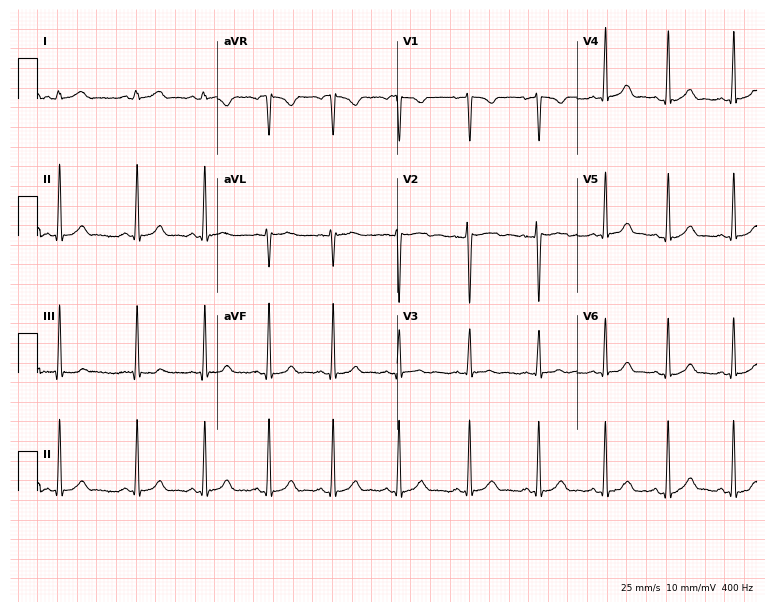
Resting 12-lead electrocardiogram (7.3-second recording at 400 Hz). Patient: a female, 24 years old. Read as a normal ECG.